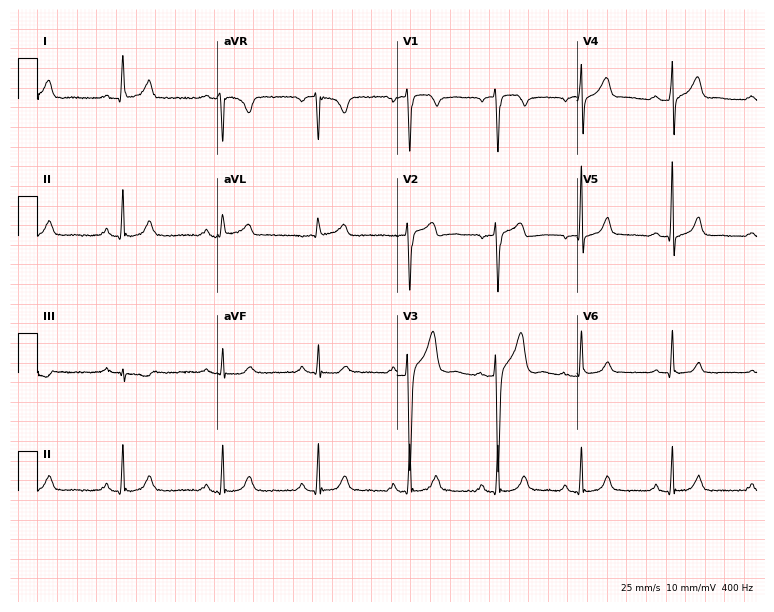
12-lead ECG (7.3-second recording at 400 Hz) from a 40-year-old male. Screened for six findings — first-degree AV block, right bundle branch block, left bundle branch block, sinus bradycardia, atrial fibrillation, sinus tachycardia — none is recorded. Only these six findings were labelled.